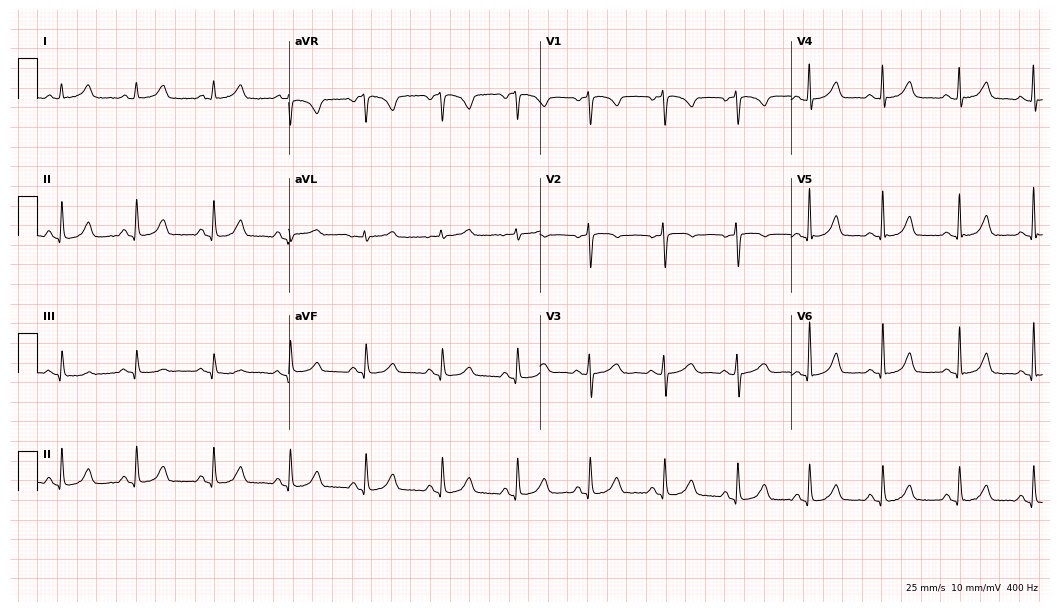
Resting 12-lead electrocardiogram (10.2-second recording at 400 Hz). Patient: a female, 58 years old. Read as a normal ECG.